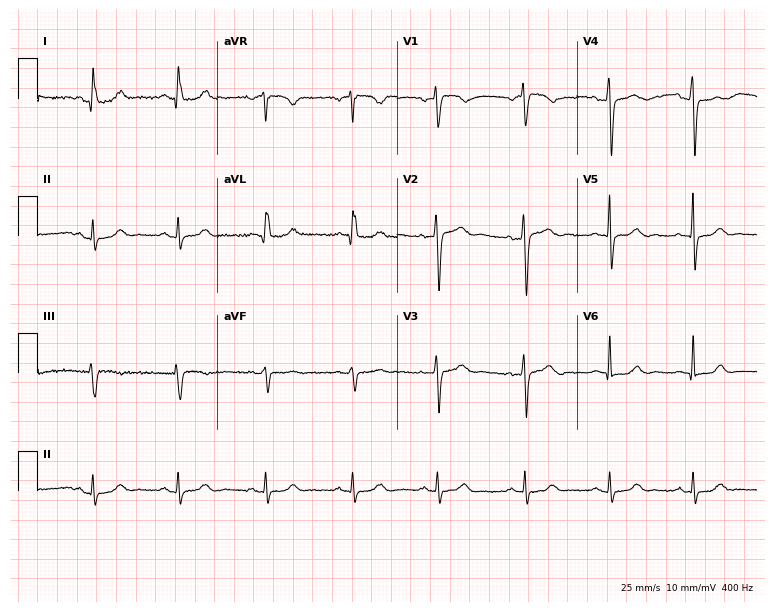
Resting 12-lead electrocardiogram. Patient: a 57-year-old woman. Read as a normal ECG.